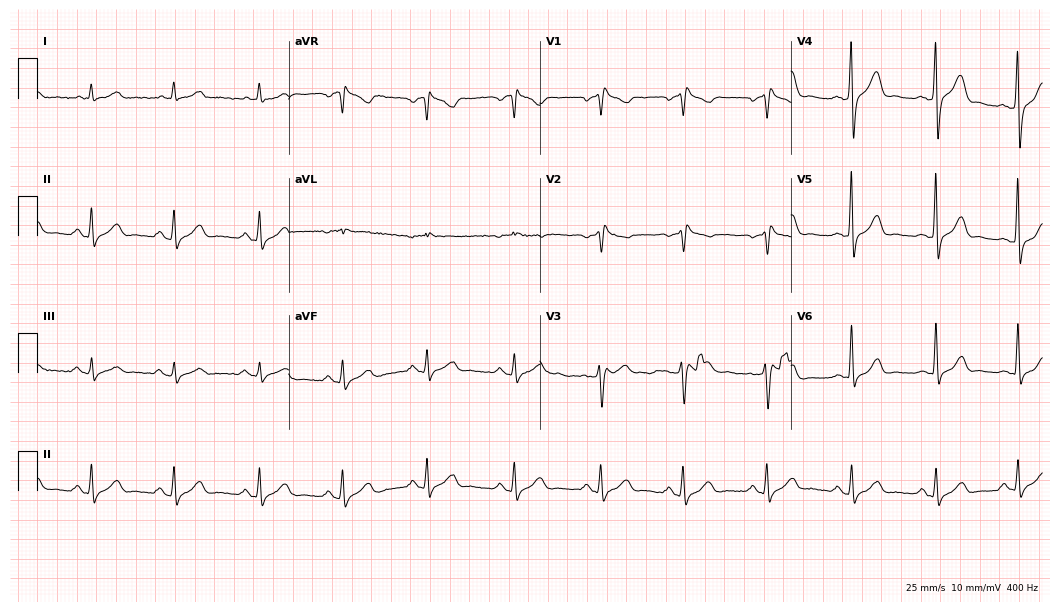
ECG — a male, 43 years old. Screened for six findings — first-degree AV block, right bundle branch block (RBBB), left bundle branch block (LBBB), sinus bradycardia, atrial fibrillation (AF), sinus tachycardia — none is recorded. Findings outside these six are not listed.